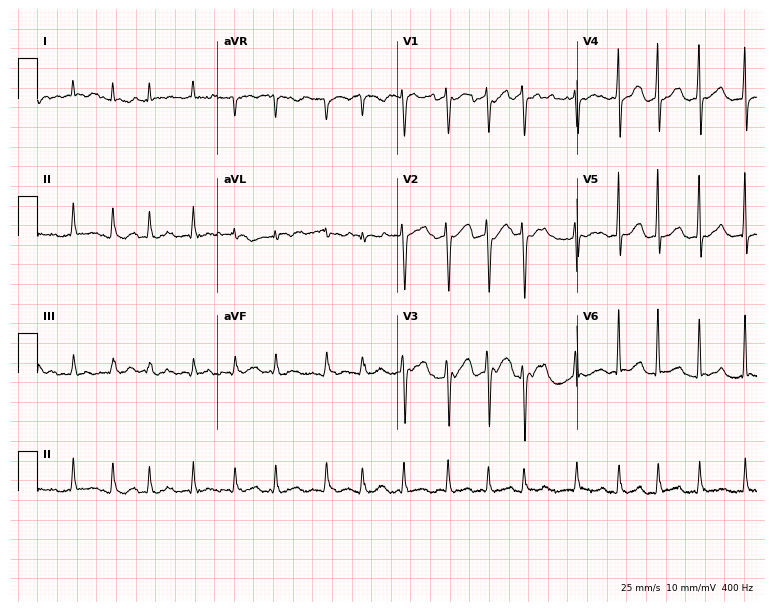
Resting 12-lead electrocardiogram (7.3-second recording at 400 Hz). Patient: a 70-year-old female. The tracing shows atrial fibrillation (AF).